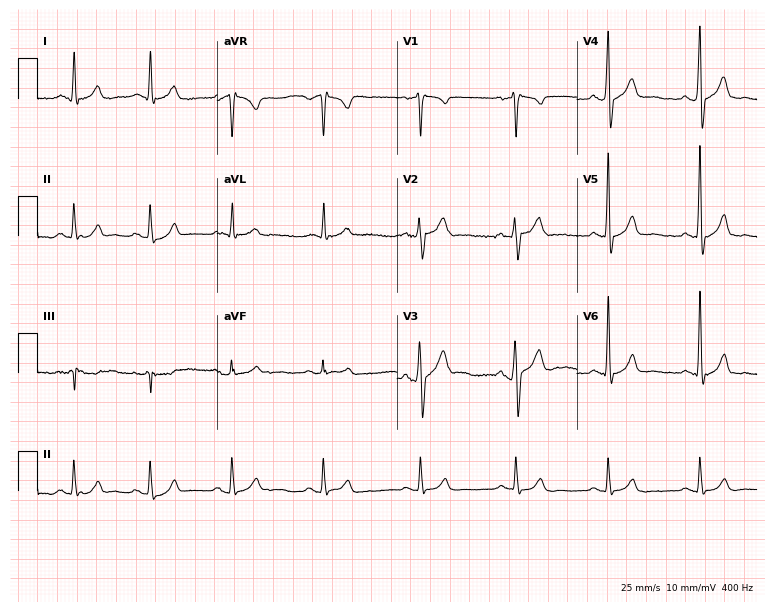
12-lead ECG from a 49-year-old man. Labelled as a normal ECG.